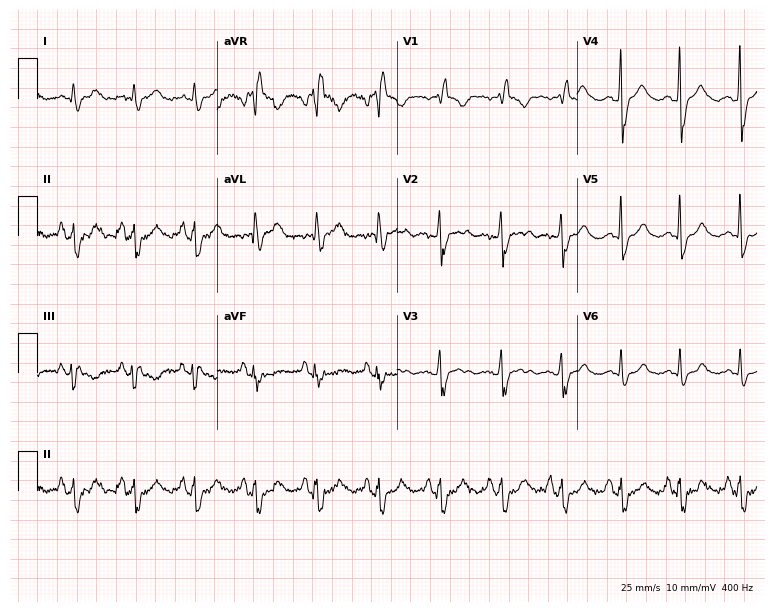
Electrocardiogram, a woman, 51 years old. Of the six screened findings (first-degree AV block, right bundle branch block (RBBB), left bundle branch block (LBBB), sinus bradycardia, atrial fibrillation (AF), sinus tachycardia), none is recorded.